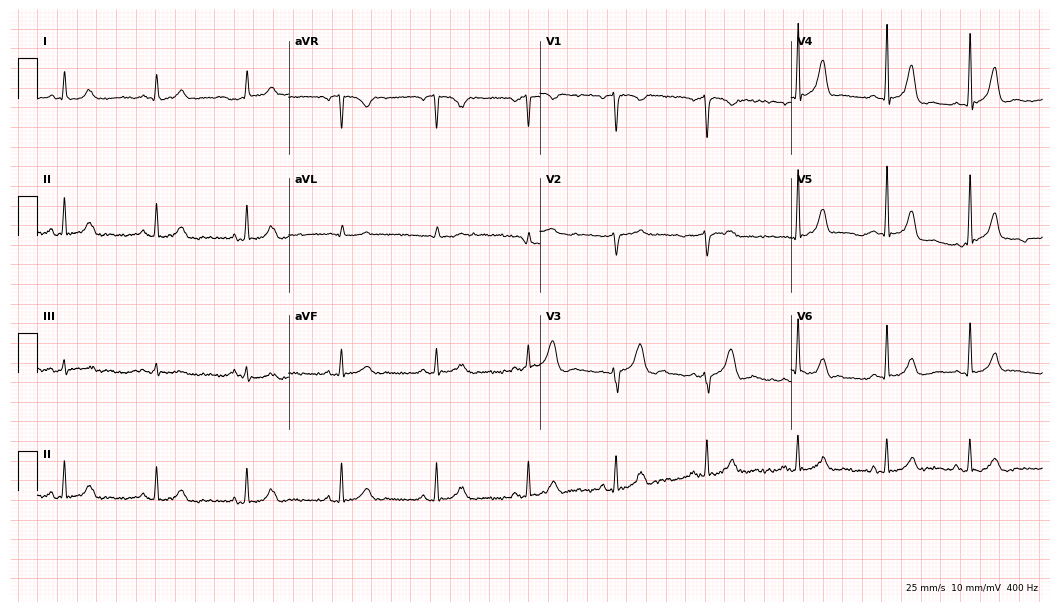
12-lead ECG (10.2-second recording at 400 Hz) from a 35-year-old female. Labelled as a normal ECG.